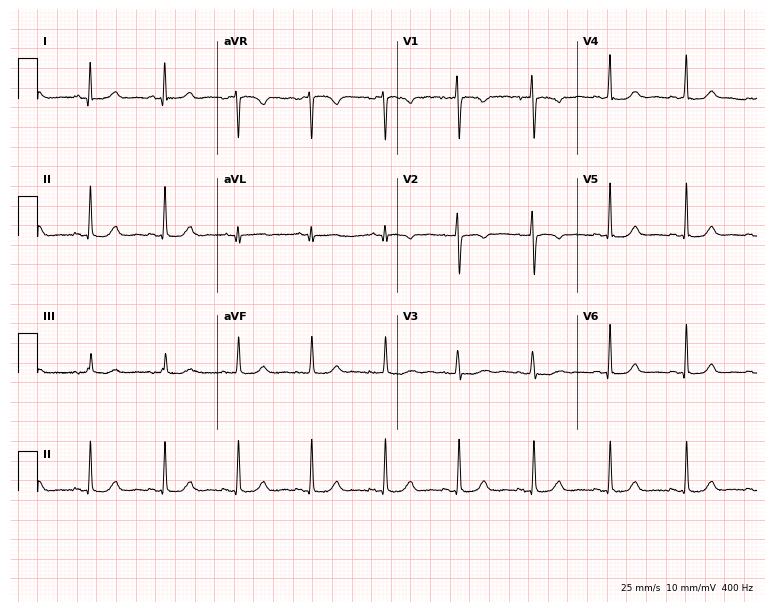
Electrocardiogram, a female, 39 years old. Of the six screened findings (first-degree AV block, right bundle branch block (RBBB), left bundle branch block (LBBB), sinus bradycardia, atrial fibrillation (AF), sinus tachycardia), none is recorded.